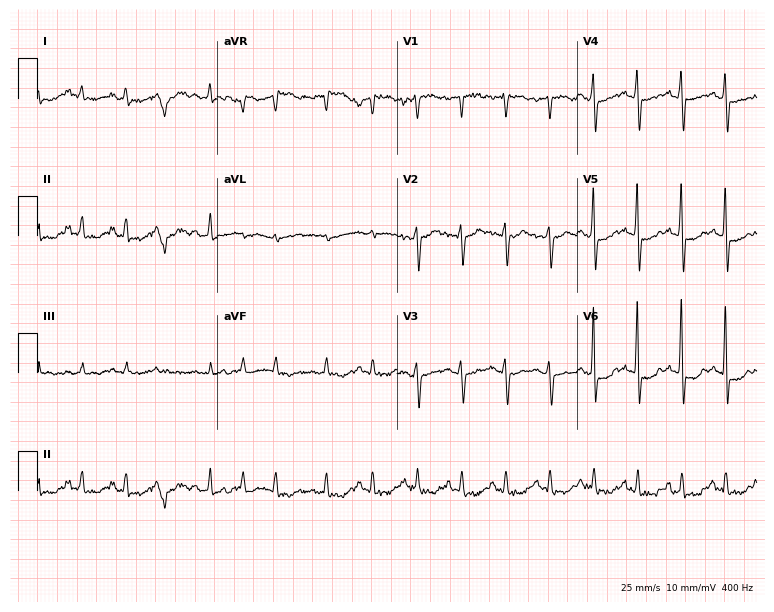
Resting 12-lead electrocardiogram (7.3-second recording at 400 Hz). Patient: an 83-year-old female. The tracing shows sinus tachycardia (a sinus rate of 100 beats per minute or more).